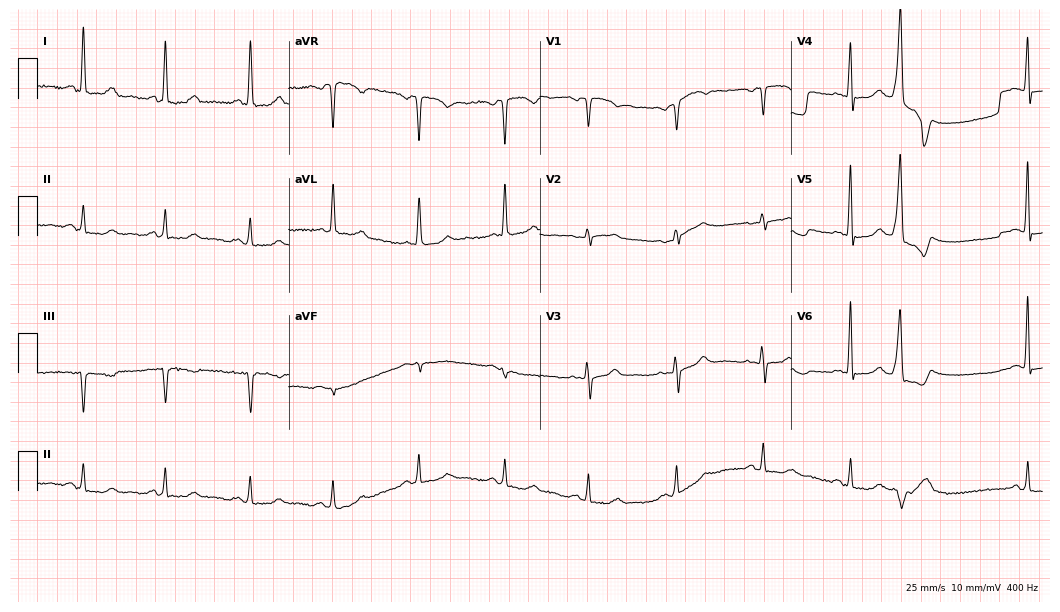
12-lead ECG from a female patient, 62 years old. Labelled as a normal ECG.